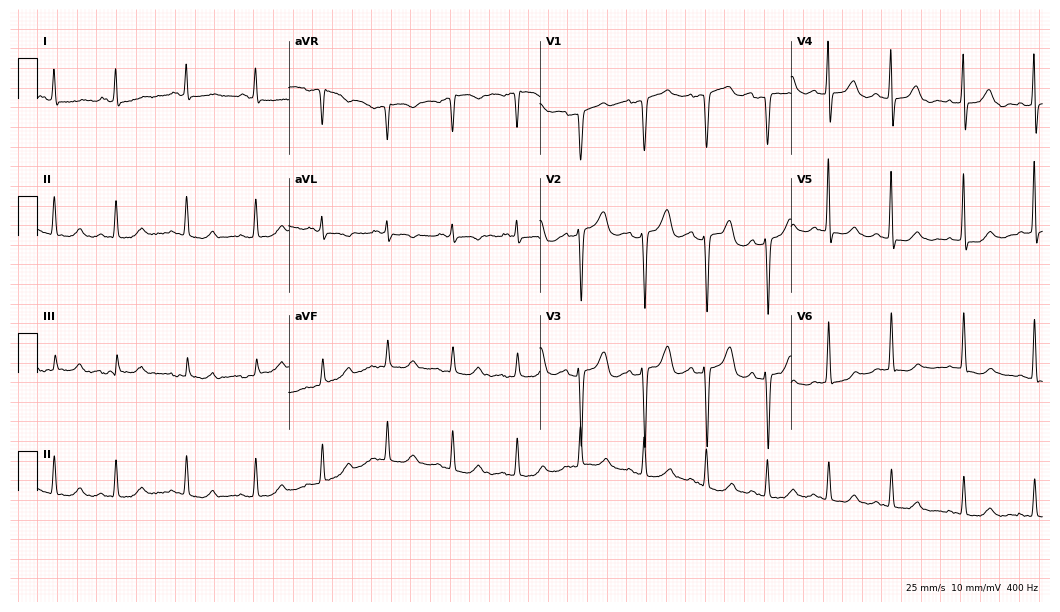
12-lead ECG from a woman, 72 years old. Recorded interpretation: within normal limits.